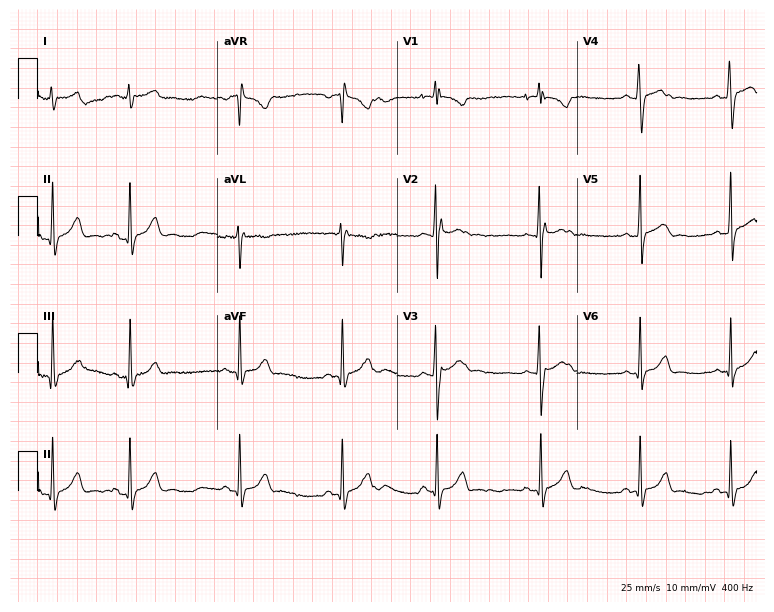
Standard 12-lead ECG recorded from a male, 17 years old. None of these six findings is recorded: first-degree AV block, right bundle branch block, left bundle branch block, sinus bradycardia, atrial fibrillation, sinus tachycardia. Only these six findings were labelled.